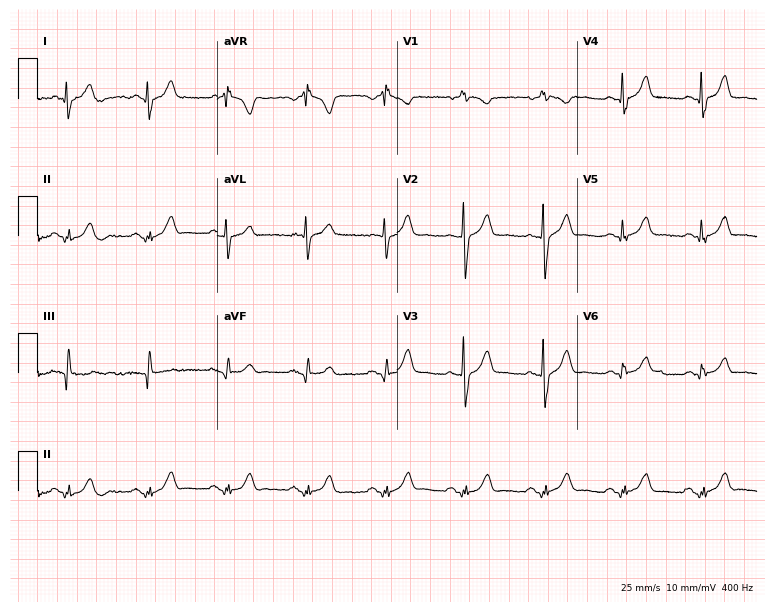
ECG (7.3-second recording at 400 Hz) — a male, 47 years old. Screened for six findings — first-degree AV block, right bundle branch block, left bundle branch block, sinus bradycardia, atrial fibrillation, sinus tachycardia — none is recorded. Other findings, if any, are not listed.